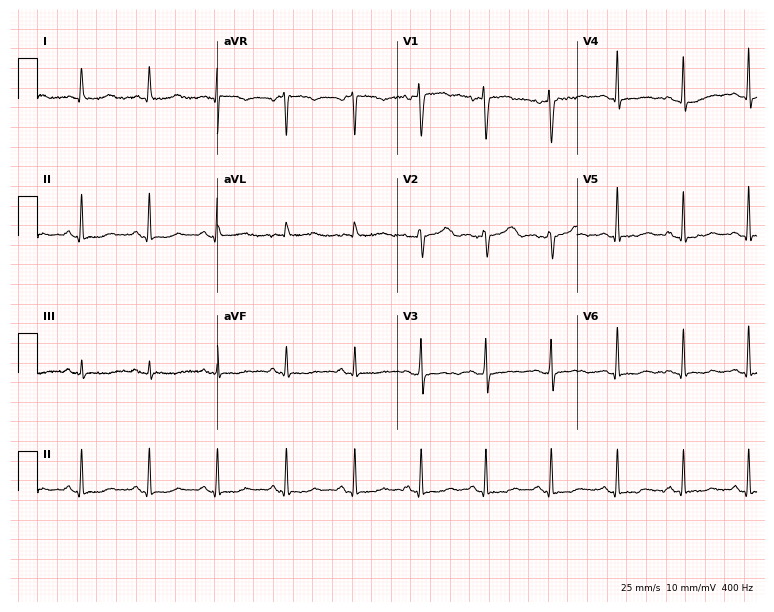
12-lead ECG from a woman, 56 years old (7.3-second recording at 400 Hz). No first-degree AV block, right bundle branch block, left bundle branch block, sinus bradycardia, atrial fibrillation or sinus tachycardia recorded for this tracing. Findings outside these six are not listed.